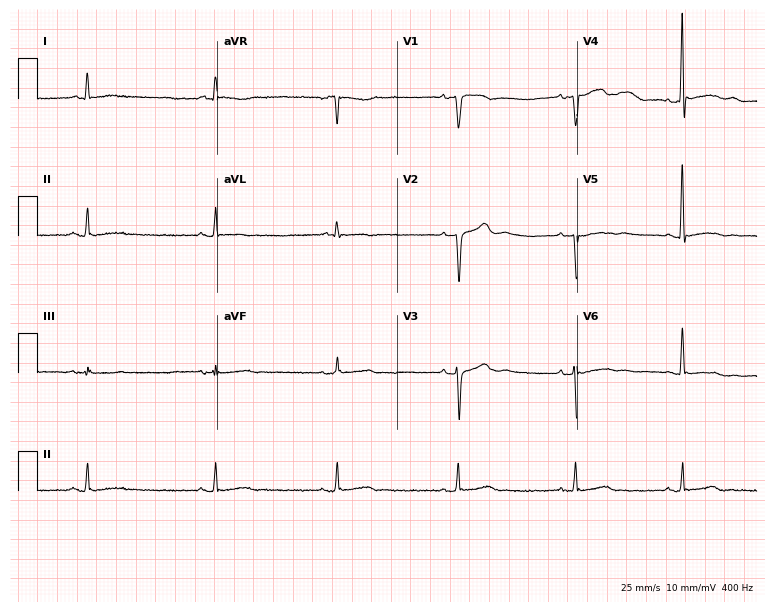
12-lead ECG (7.3-second recording at 400 Hz) from a female, 56 years old. Screened for six findings — first-degree AV block, right bundle branch block, left bundle branch block, sinus bradycardia, atrial fibrillation, sinus tachycardia — none is recorded. Other findings, if any, are not listed.